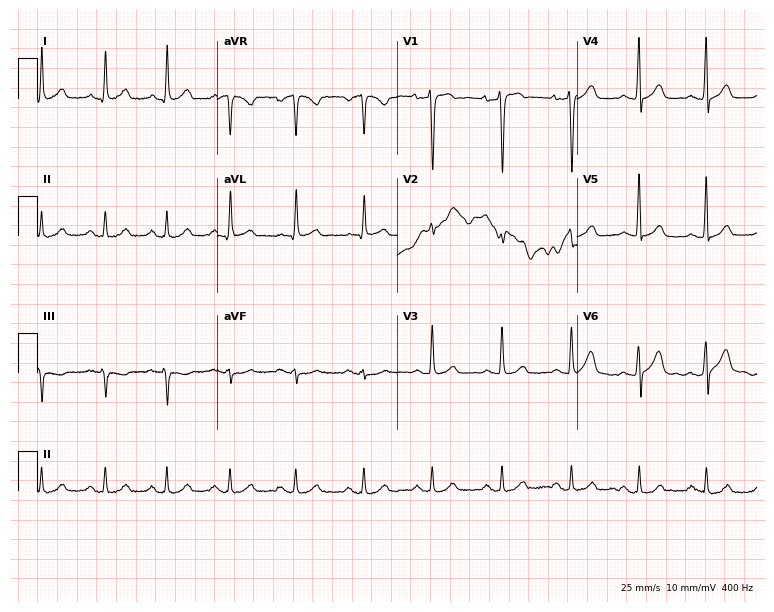
Standard 12-lead ECG recorded from a 45-year-old male patient. Read as a normal ECG.